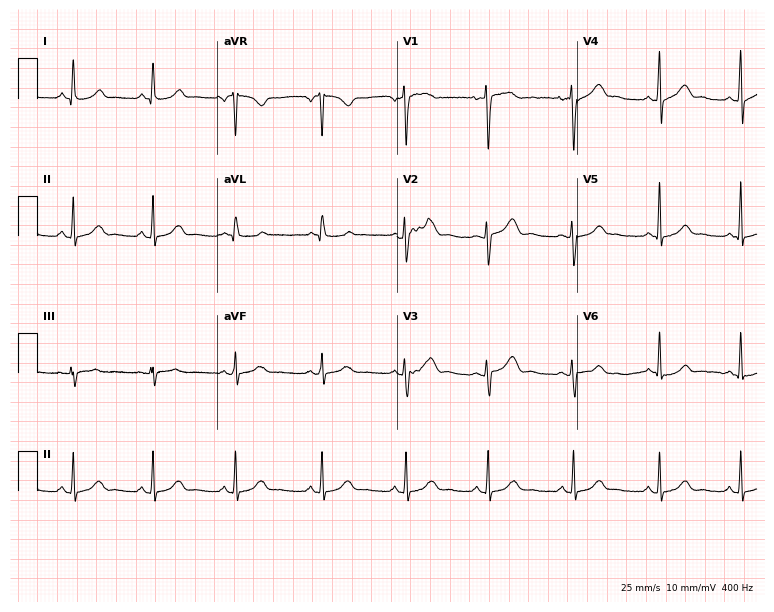
Standard 12-lead ECG recorded from a 45-year-old woman (7.3-second recording at 400 Hz). Read as a normal ECG.